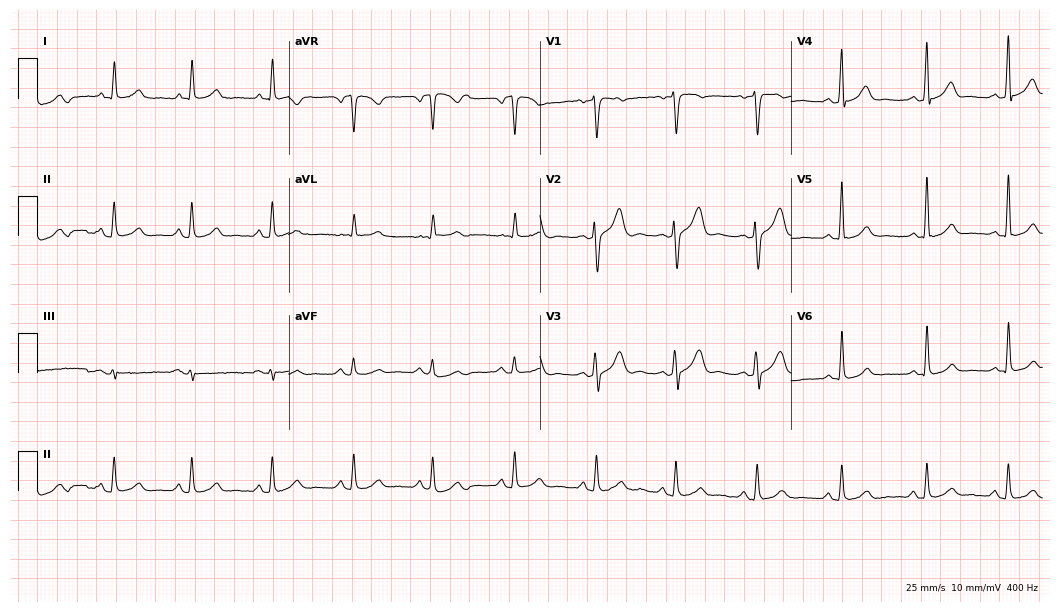
ECG (10.2-second recording at 400 Hz) — a male, 46 years old. Labelled as a normal ECG.